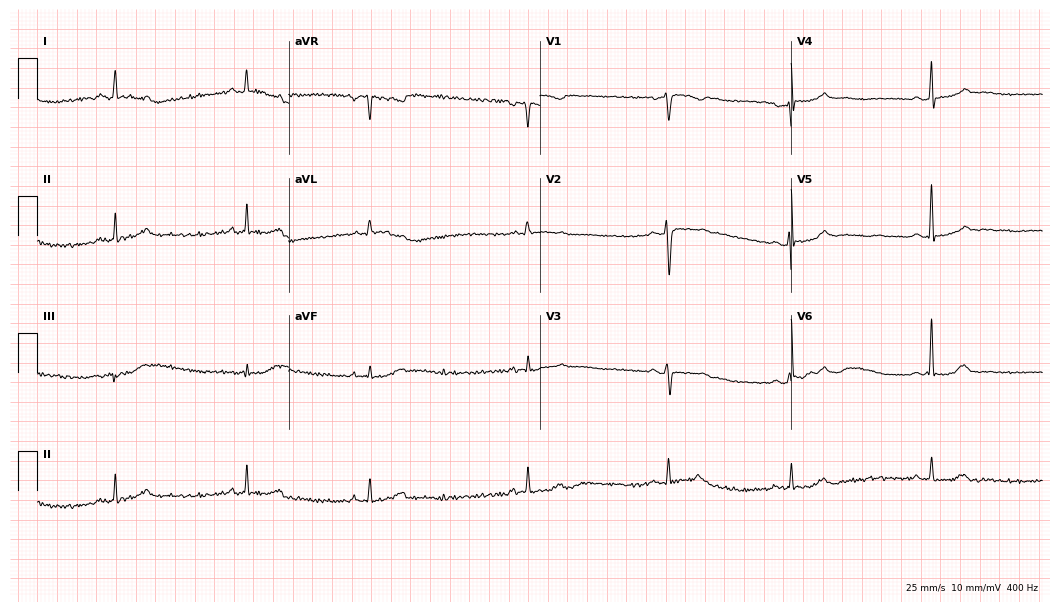
Standard 12-lead ECG recorded from a 58-year-old female. The tracing shows sinus bradycardia (a sinus rate of 50 beats per minute or less).